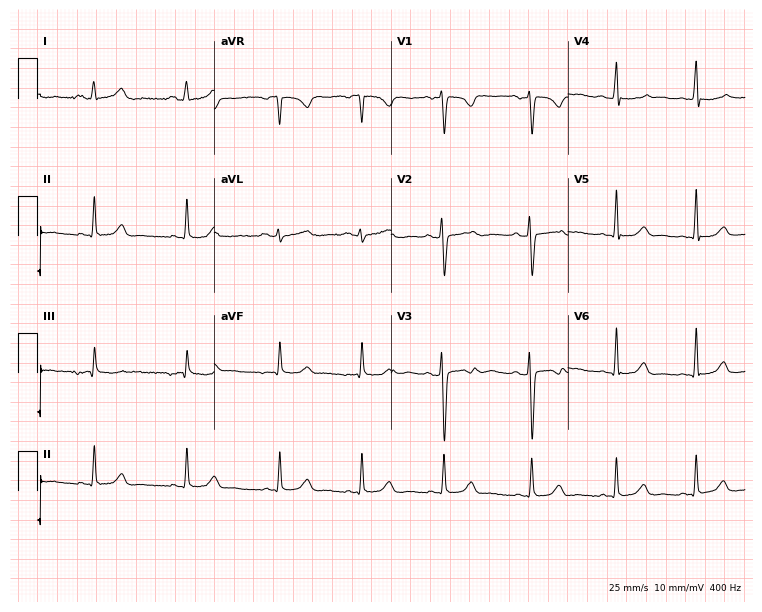
12-lead ECG from a female, 18 years old. Recorded interpretation: within normal limits.